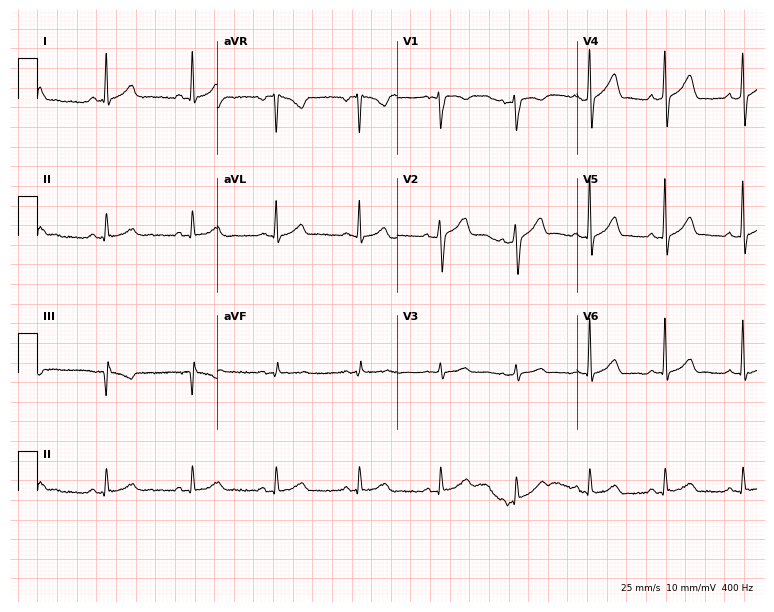
Electrocardiogram (7.3-second recording at 400 Hz), a male, 28 years old. Overall reading on record: normal ECG.